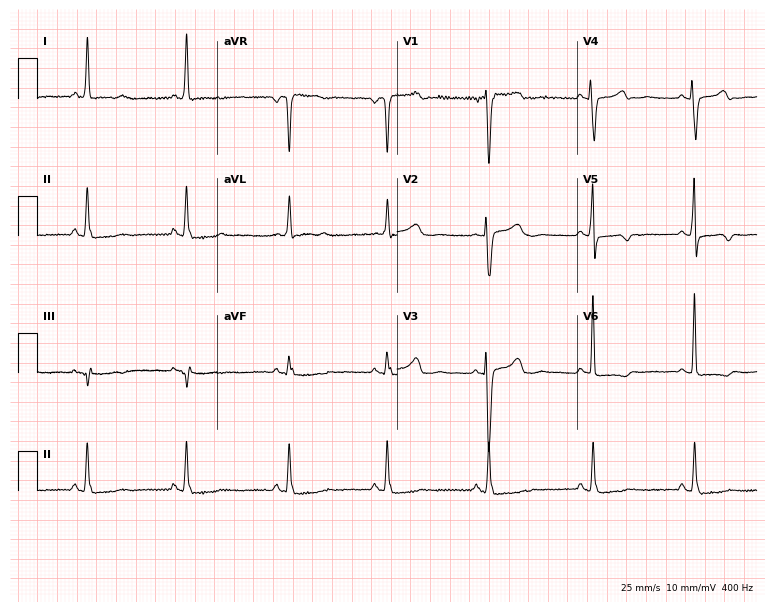
12-lead ECG from a female, 52 years old (7.3-second recording at 400 Hz). No first-degree AV block, right bundle branch block (RBBB), left bundle branch block (LBBB), sinus bradycardia, atrial fibrillation (AF) or sinus tachycardia recorded for this tracing. Findings outside these six are not listed.